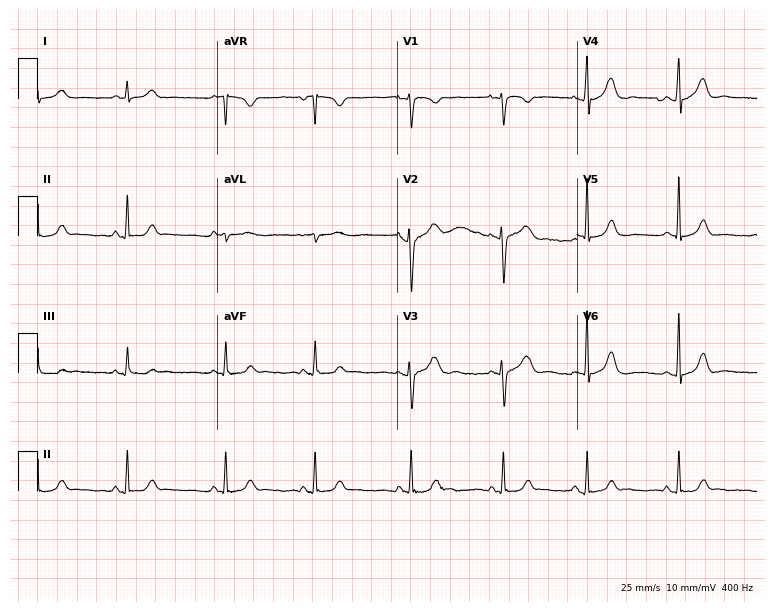
ECG — a 21-year-old female patient. Labelled as a normal ECG.